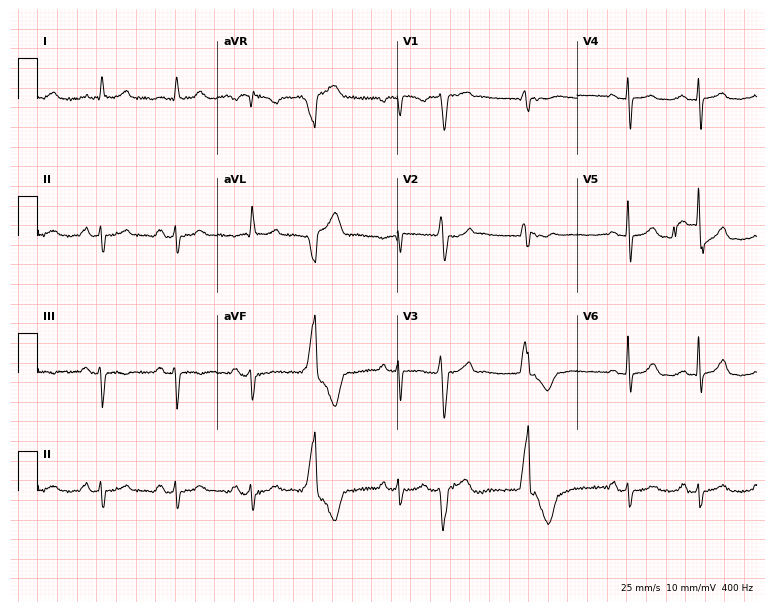
12-lead ECG from a woman, 74 years old (7.3-second recording at 400 Hz). No first-degree AV block, right bundle branch block (RBBB), left bundle branch block (LBBB), sinus bradycardia, atrial fibrillation (AF) or sinus tachycardia recorded for this tracing. Only these six findings were labelled.